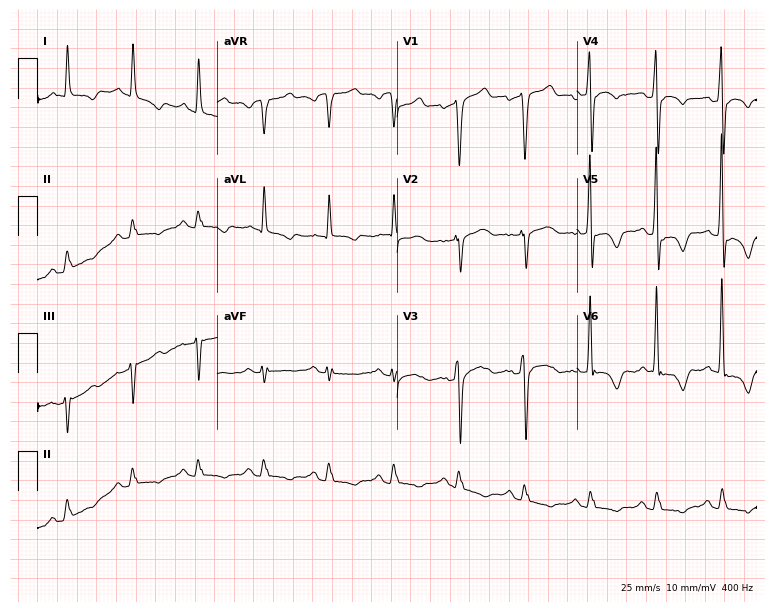
ECG (7.3-second recording at 400 Hz) — an 80-year-old male. Screened for six findings — first-degree AV block, right bundle branch block, left bundle branch block, sinus bradycardia, atrial fibrillation, sinus tachycardia — none is recorded. Other findings, if any, are not listed.